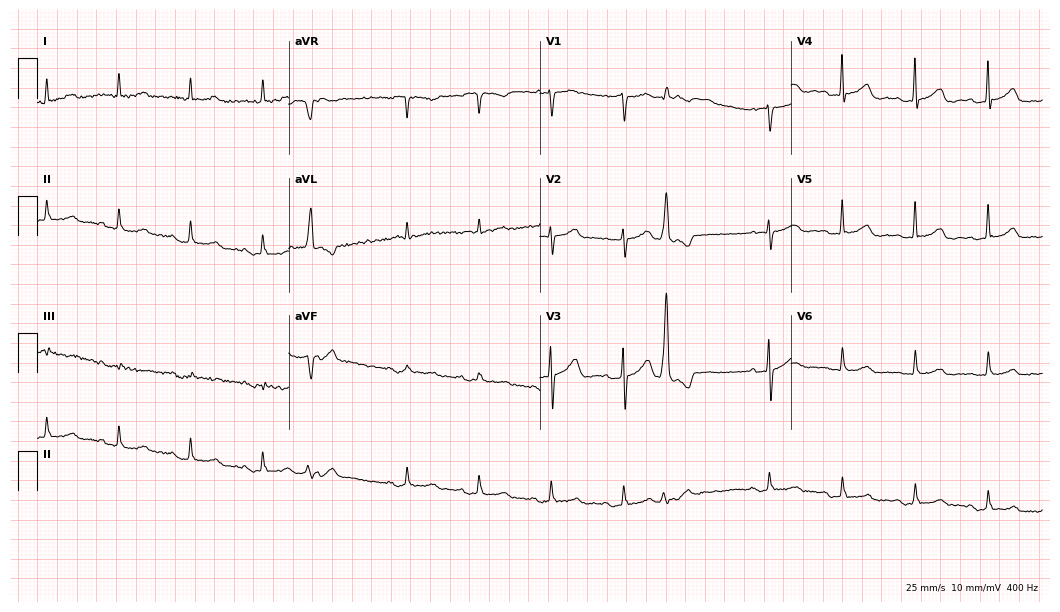
Electrocardiogram (10.2-second recording at 400 Hz), a female patient, 78 years old. Of the six screened findings (first-degree AV block, right bundle branch block, left bundle branch block, sinus bradycardia, atrial fibrillation, sinus tachycardia), none is recorded. Findings outside these six are not listed.